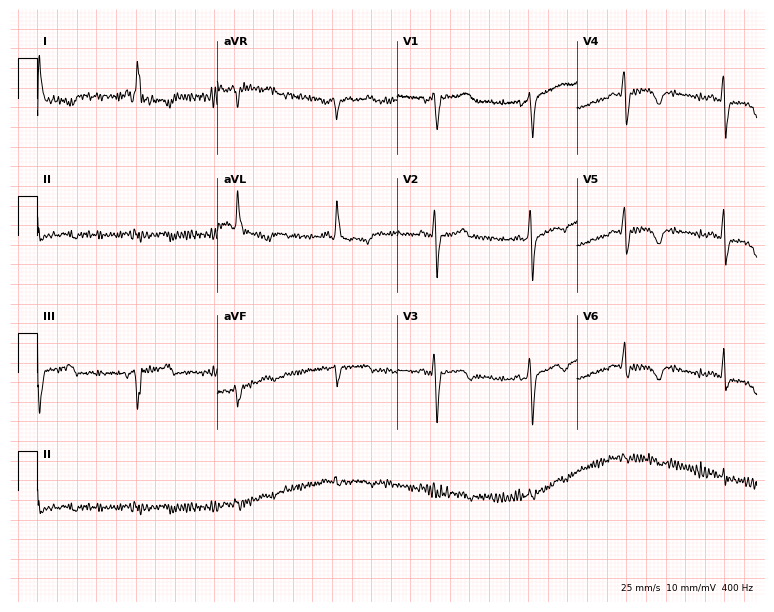
12-lead ECG (7.3-second recording at 400 Hz) from a female patient, 76 years old. Screened for six findings — first-degree AV block, right bundle branch block, left bundle branch block, sinus bradycardia, atrial fibrillation, sinus tachycardia — none is recorded.